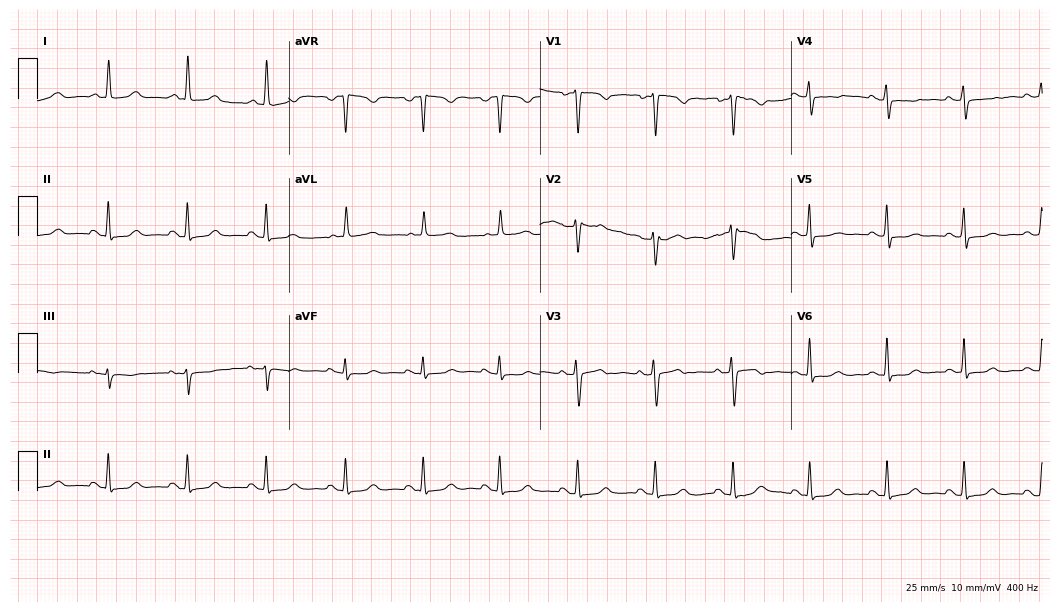
12-lead ECG from a 57-year-old woman. Recorded interpretation: within normal limits.